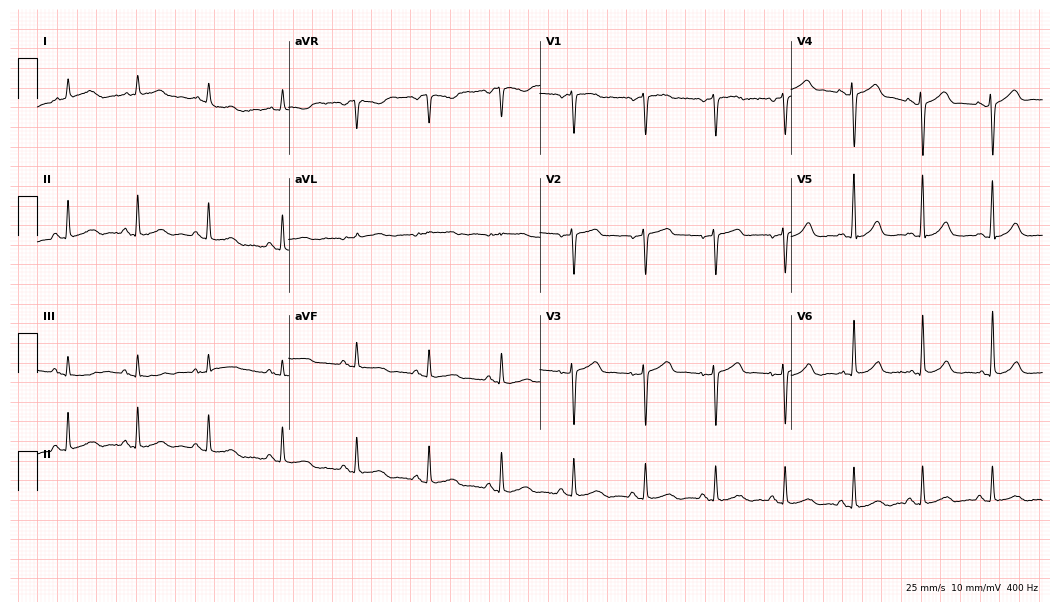
12-lead ECG from a female, 79 years old. Labelled as a normal ECG.